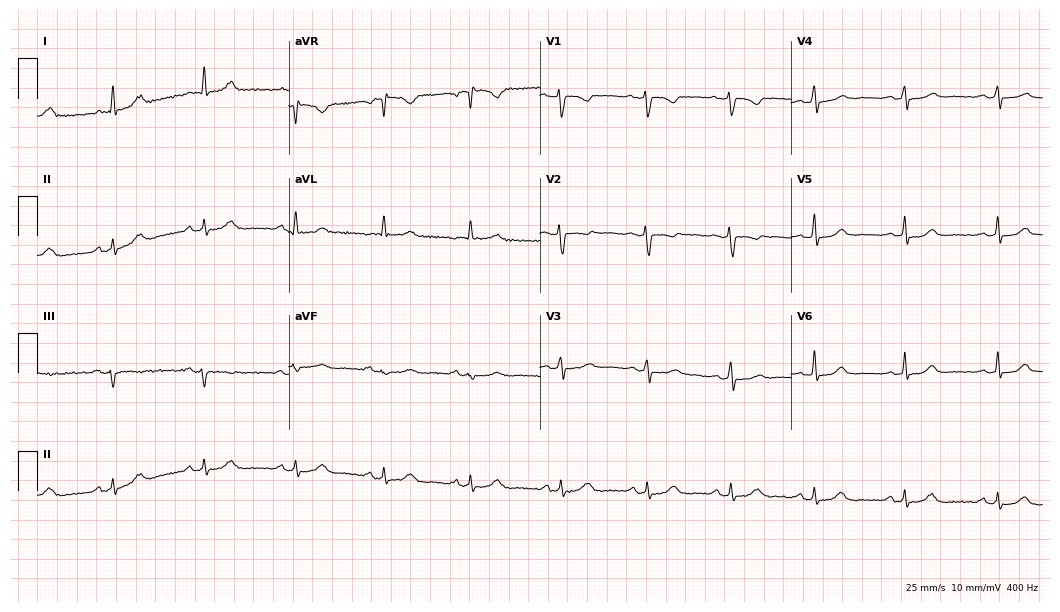
Electrocardiogram (10.2-second recording at 400 Hz), a woman, 37 years old. Of the six screened findings (first-degree AV block, right bundle branch block, left bundle branch block, sinus bradycardia, atrial fibrillation, sinus tachycardia), none is recorded.